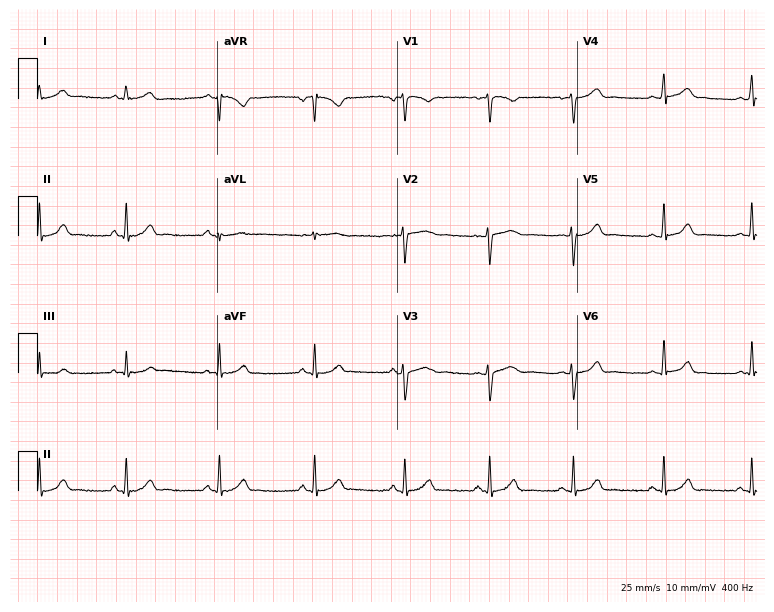
12-lead ECG from a 20-year-old woman (7.3-second recording at 400 Hz). Recorded interpretation: within normal limits.